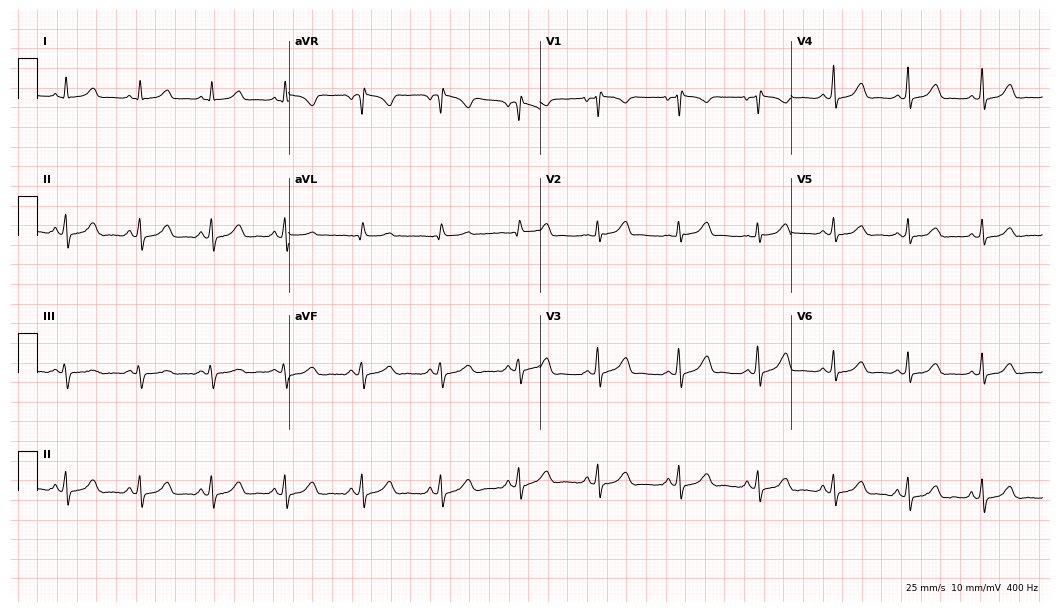
Electrocardiogram (10.2-second recording at 400 Hz), a female patient, 38 years old. Overall reading on record: normal ECG.